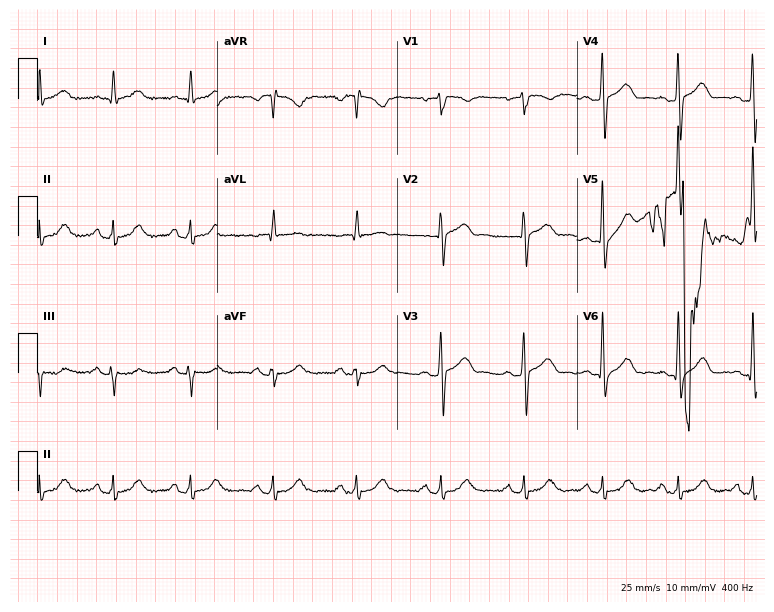
12-lead ECG from a 72-year-old male patient. Screened for six findings — first-degree AV block, right bundle branch block, left bundle branch block, sinus bradycardia, atrial fibrillation, sinus tachycardia — none is recorded. Findings outside these six are not listed.